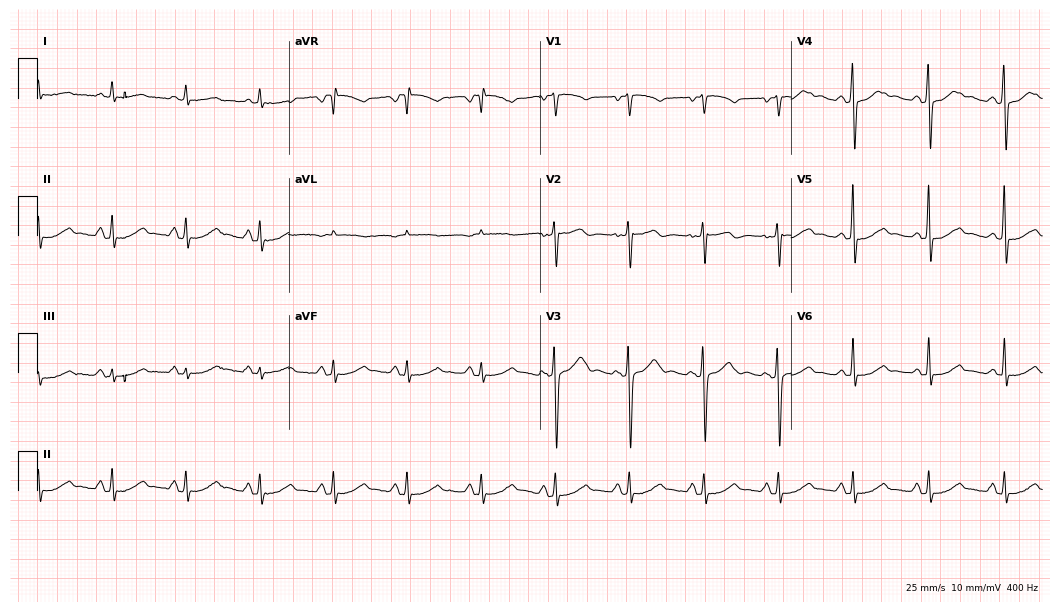
Resting 12-lead electrocardiogram (10.2-second recording at 400 Hz). Patient: a 50-year-old male. Read as a normal ECG.